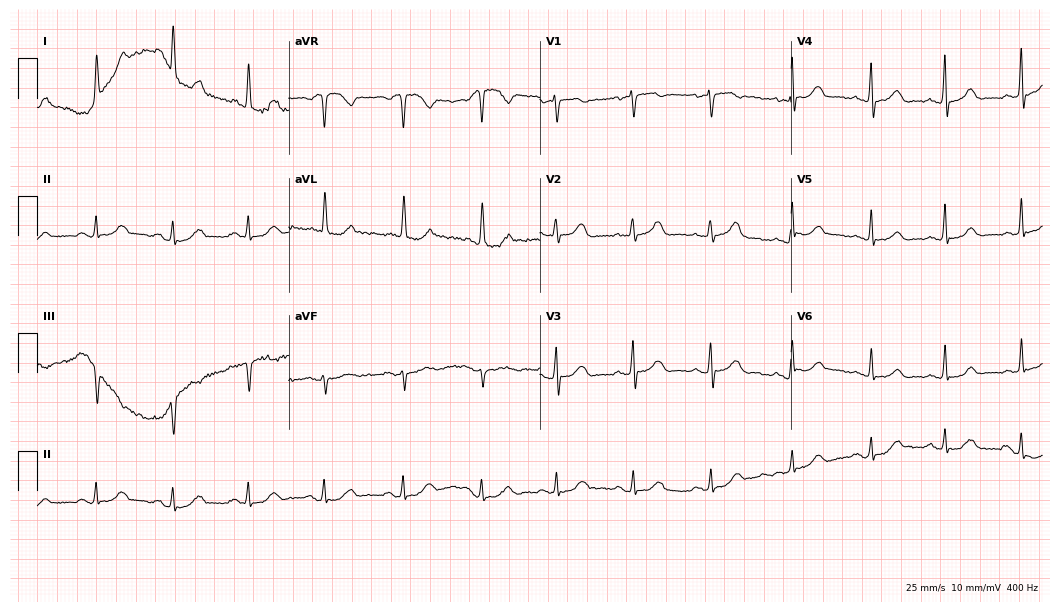
Resting 12-lead electrocardiogram. Patient: a female, 81 years old. Read as a normal ECG.